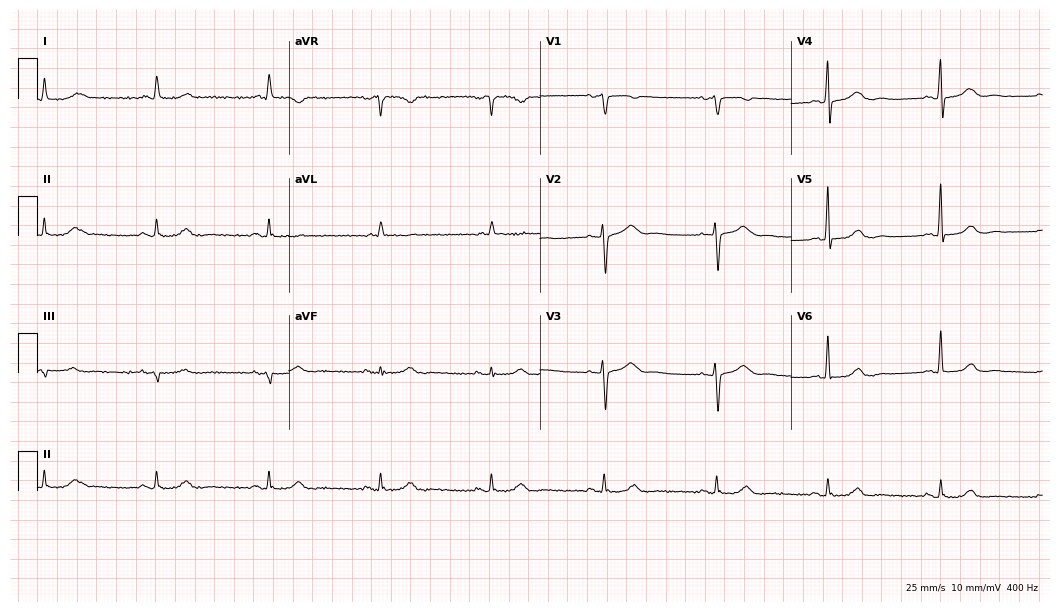
12-lead ECG from a 65-year-old female (10.2-second recording at 400 Hz). No first-degree AV block, right bundle branch block (RBBB), left bundle branch block (LBBB), sinus bradycardia, atrial fibrillation (AF) or sinus tachycardia recorded for this tracing. Findings outside these six are not listed.